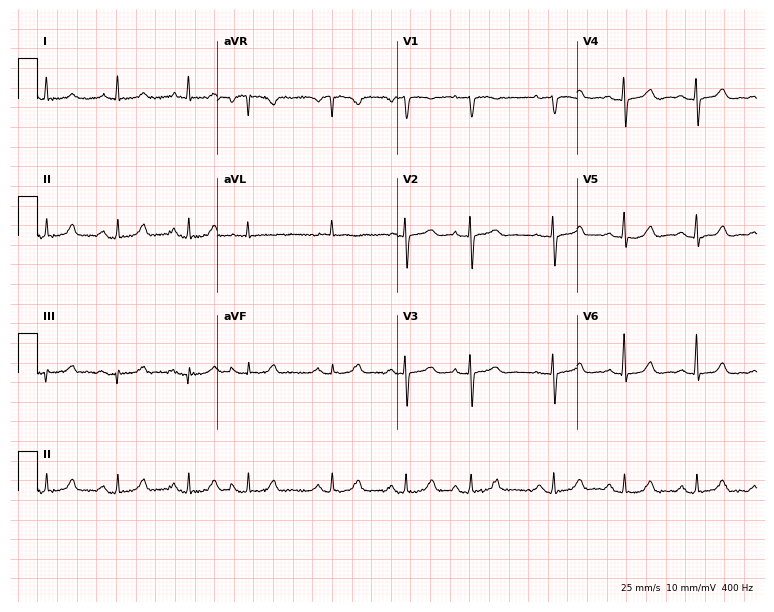
Resting 12-lead electrocardiogram (7.3-second recording at 400 Hz). Patient: an 83-year-old female. Read as a normal ECG.